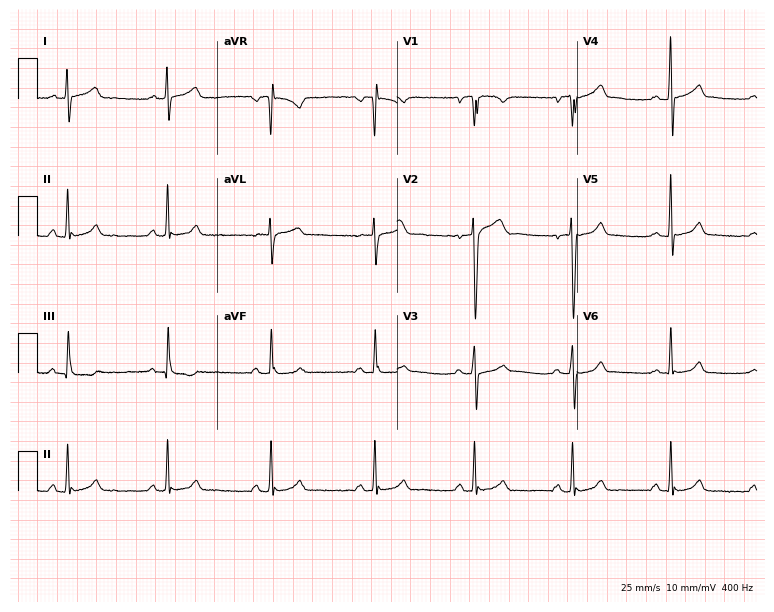
Resting 12-lead electrocardiogram. Patient: a 17-year-old man. Read as a normal ECG.